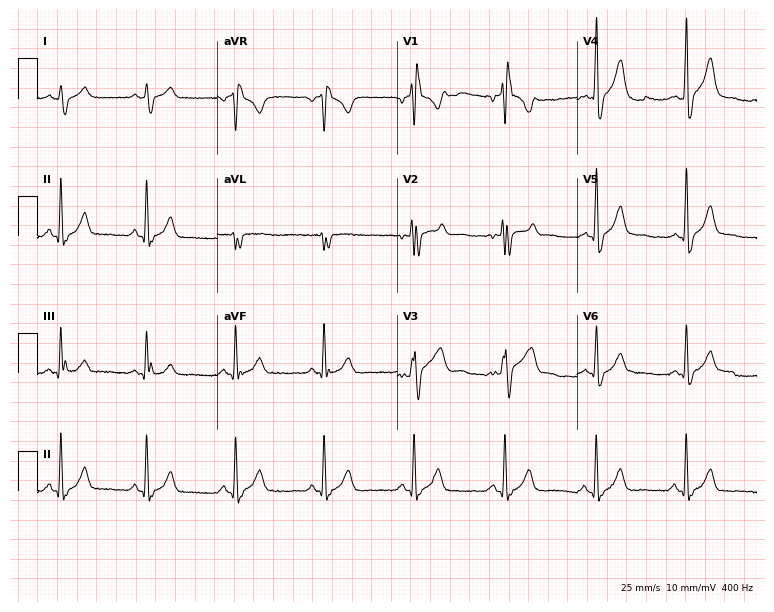
Standard 12-lead ECG recorded from a man, 44 years old (7.3-second recording at 400 Hz). The tracing shows right bundle branch block.